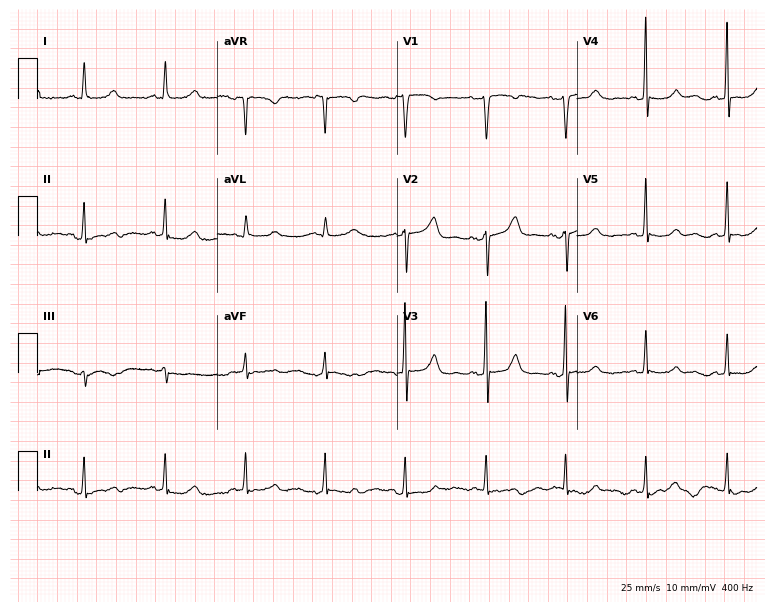
Electrocardiogram, a female patient, 50 years old. Overall reading on record: normal ECG.